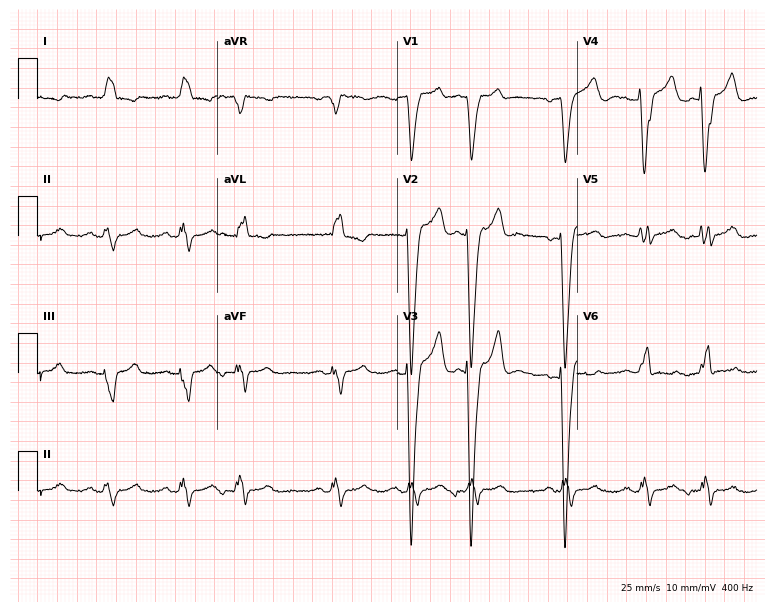
Standard 12-lead ECG recorded from a male patient, 55 years old (7.3-second recording at 400 Hz). The tracing shows first-degree AV block, left bundle branch block.